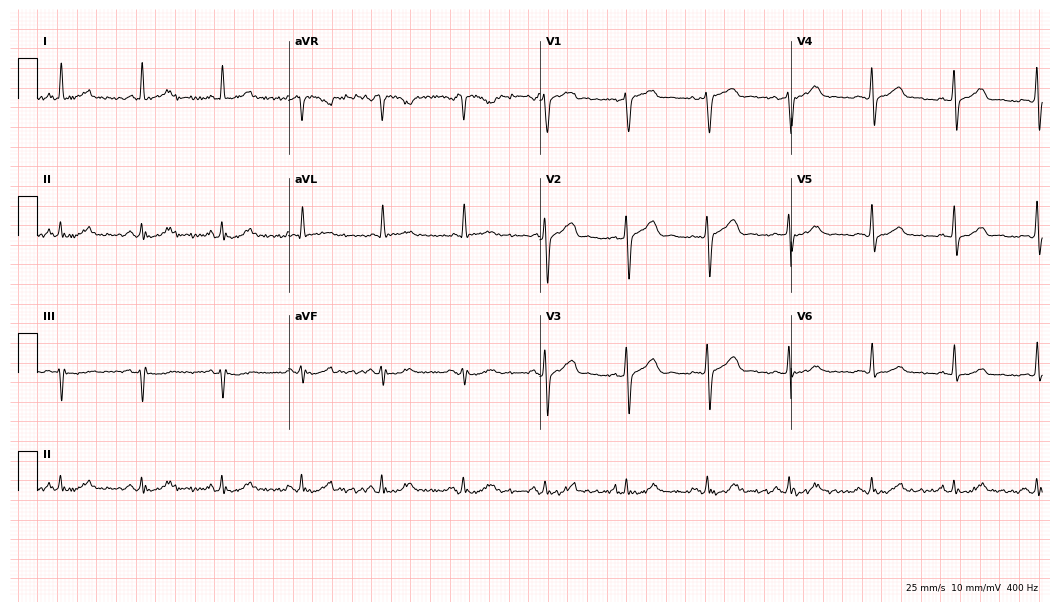
Electrocardiogram (10.2-second recording at 400 Hz), a male, 42 years old. Of the six screened findings (first-degree AV block, right bundle branch block (RBBB), left bundle branch block (LBBB), sinus bradycardia, atrial fibrillation (AF), sinus tachycardia), none is recorded. Only these six findings were labelled.